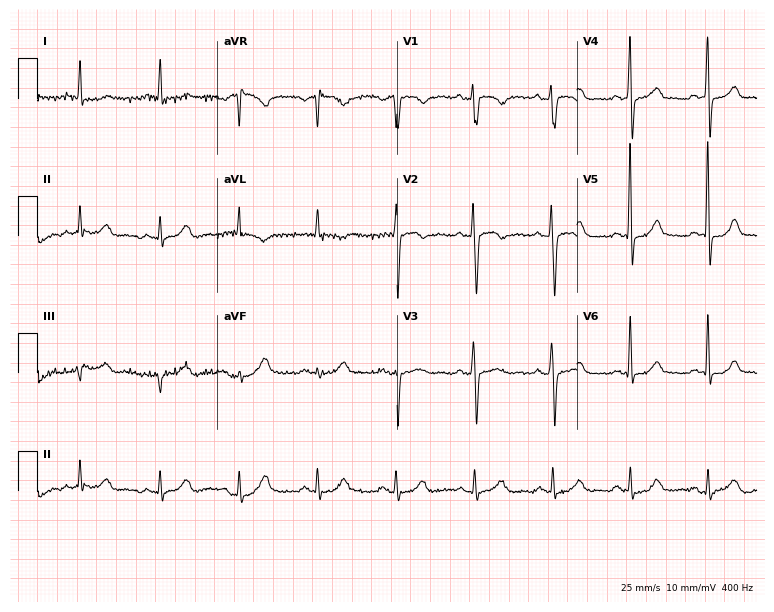
Standard 12-lead ECG recorded from a male patient, 50 years old. None of these six findings is recorded: first-degree AV block, right bundle branch block, left bundle branch block, sinus bradycardia, atrial fibrillation, sinus tachycardia.